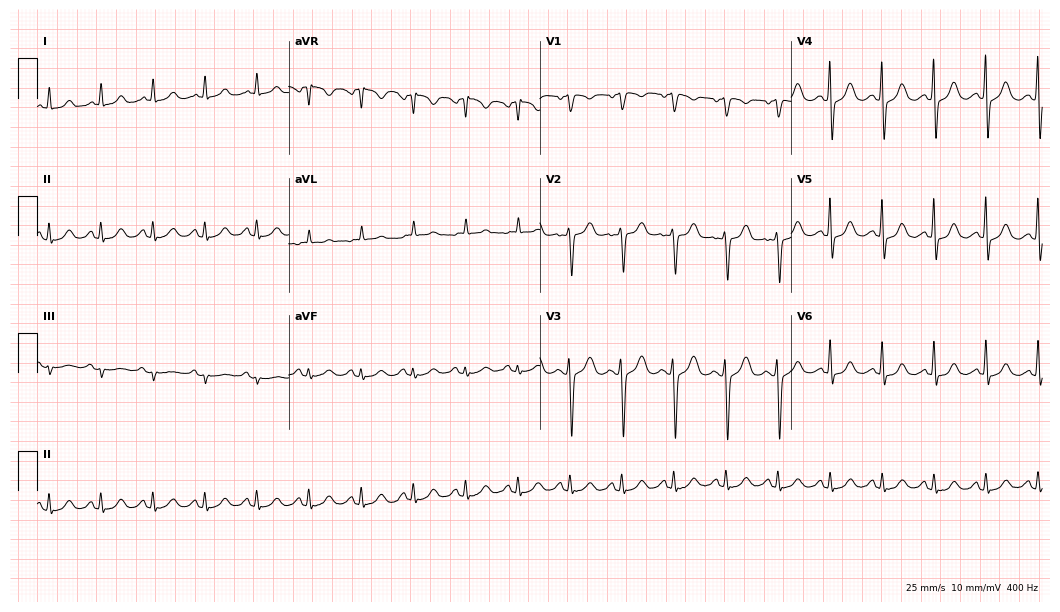
12-lead ECG from a woman, 66 years old. Findings include sinus tachycardia (a sinus rate of 100 beats per minute or more).